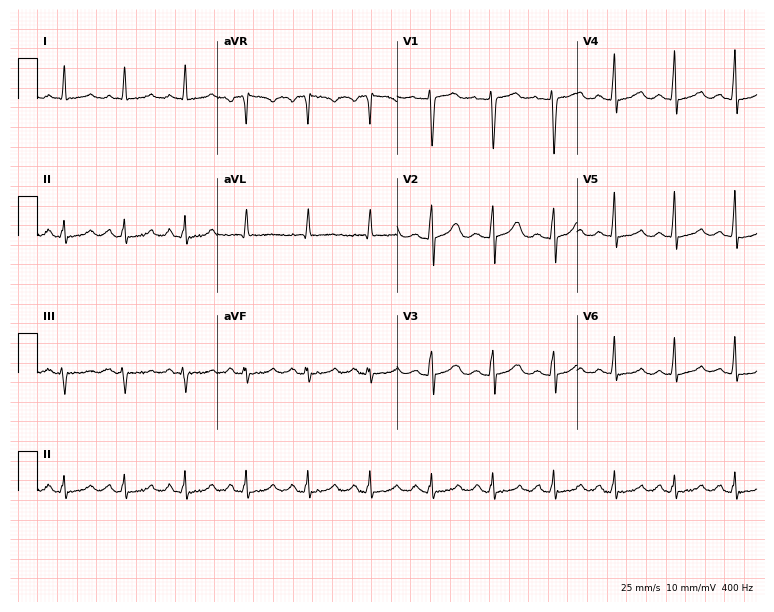
Standard 12-lead ECG recorded from a woman, 46 years old. None of these six findings is recorded: first-degree AV block, right bundle branch block, left bundle branch block, sinus bradycardia, atrial fibrillation, sinus tachycardia.